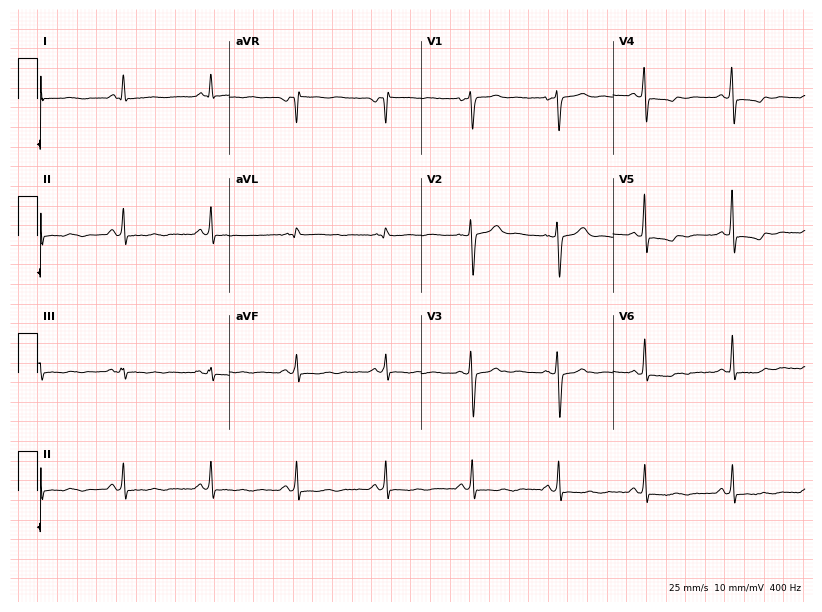
ECG — a female patient, 59 years old. Screened for six findings — first-degree AV block, right bundle branch block, left bundle branch block, sinus bradycardia, atrial fibrillation, sinus tachycardia — none is recorded.